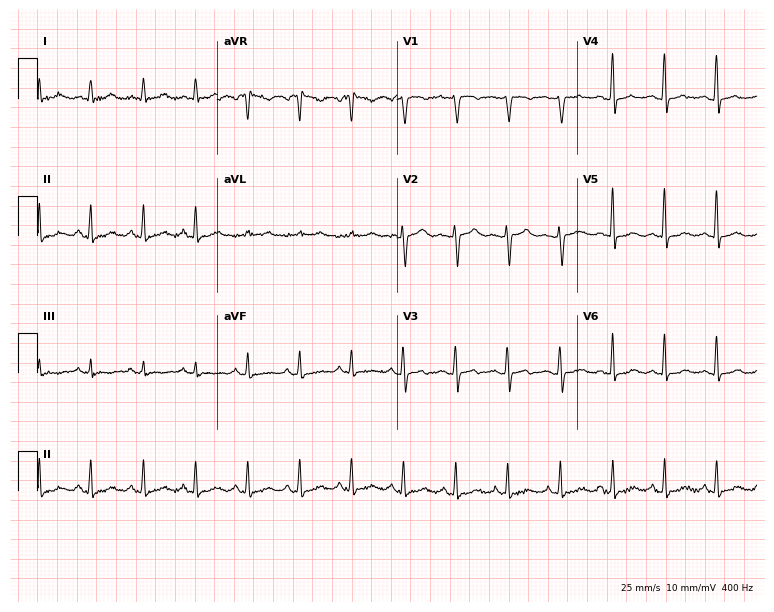
12-lead ECG from a 50-year-old female. Findings include sinus tachycardia (a sinus rate of 100 beats per minute or more).